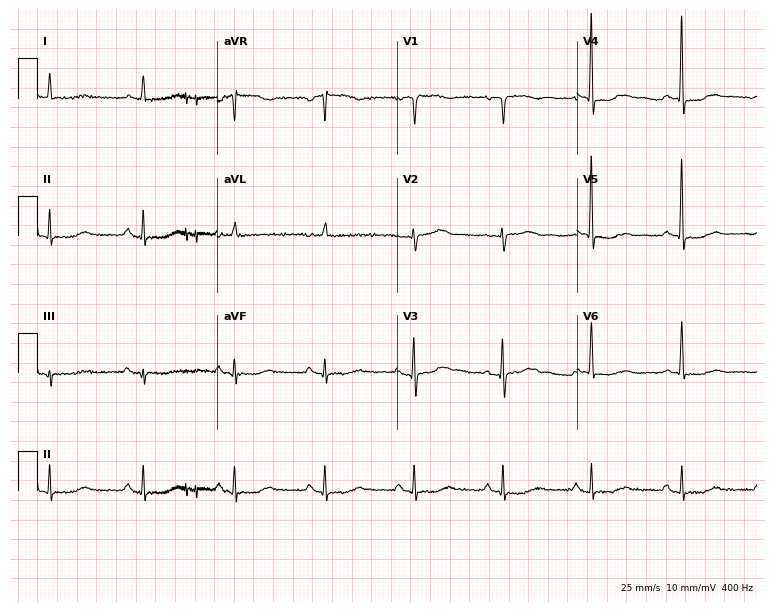
Electrocardiogram, a woman, 83 years old. Of the six screened findings (first-degree AV block, right bundle branch block (RBBB), left bundle branch block (LBBB), sinus bradycardia, atrial fibrillation (AF), sinus tachycardia), none is recorded.